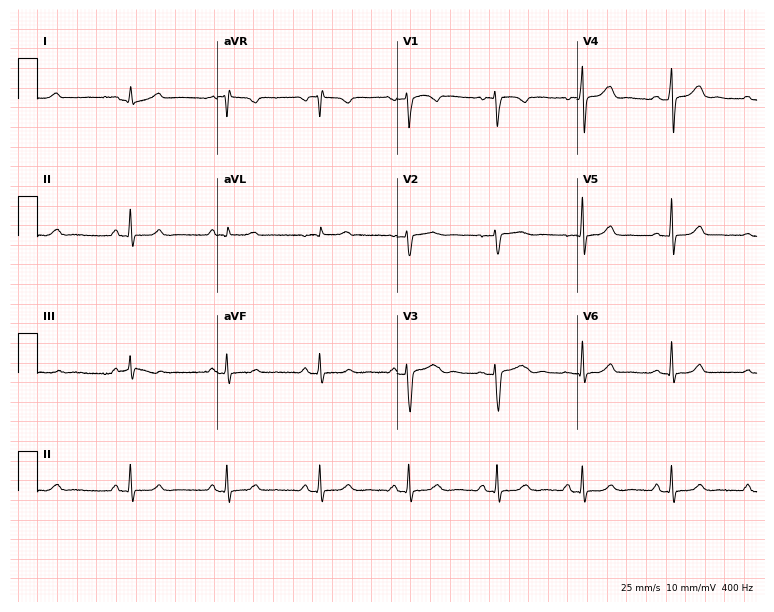
Resting 12-lead electrocardiogram. Patient: a female, 18 years old. Read as a normal ECG.